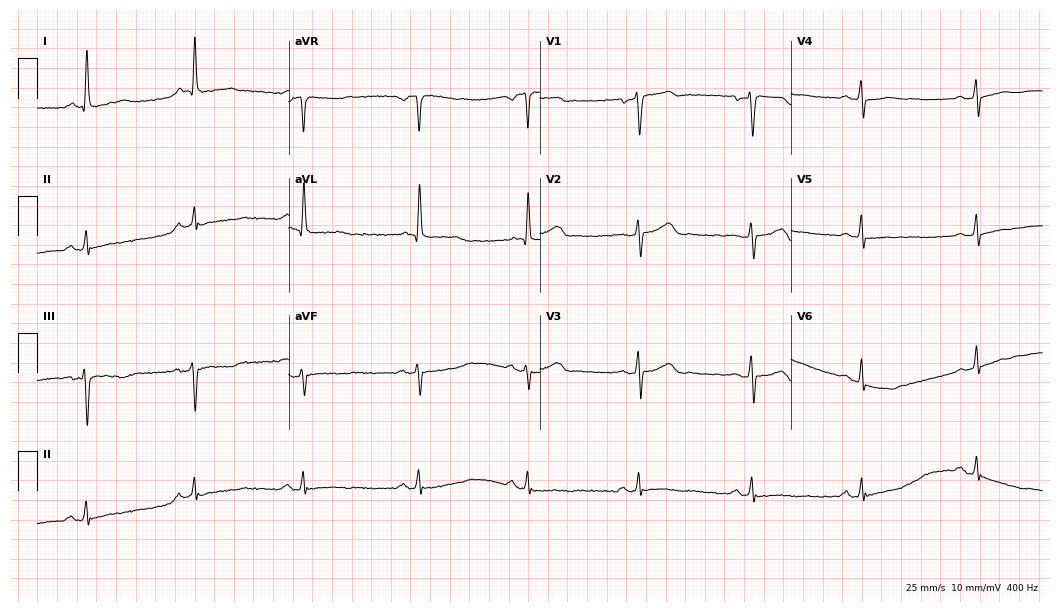
12-lead ECG (10.2-second recording at 400 Hz) from an 82-year-old female. Labelled as a normal ECG.